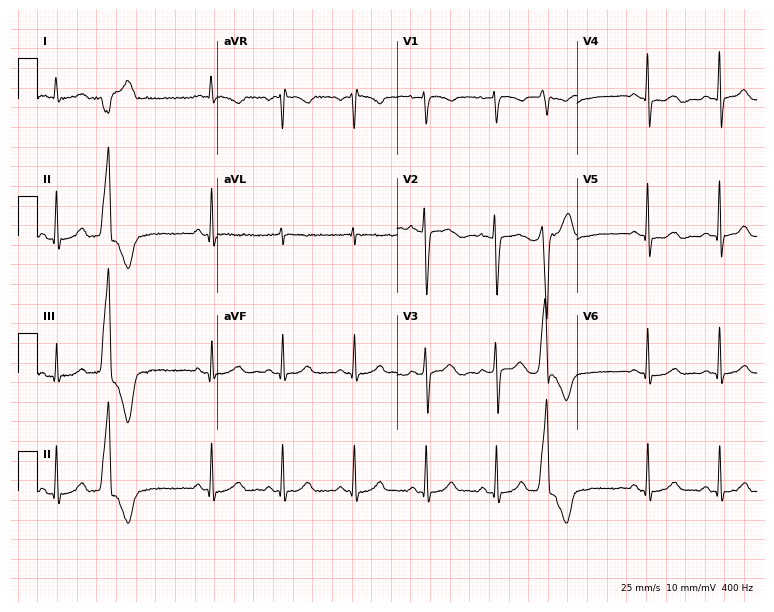
Electrocardiogram, a 51-year-old female. Of the six screened findings (first-degree AV block, right bundle branch block, left bundle branch block, sinus bradycardia, atrial fibrillation, sinus tachycardia), none is recorded. Only these six findings were labelled.